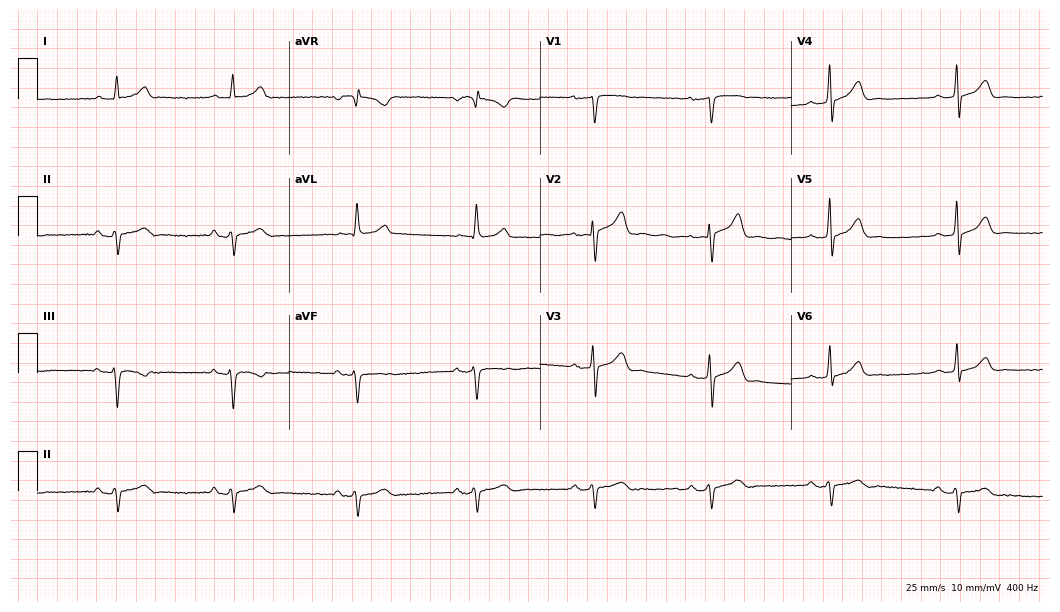
Standard 12-lead ECG recorded from a male, 60 years old. None of these six findings is recorded: first-degree AV block, right bundle branch block, left bundle branch block, sinus bradycardia, atrial fibrillation, sinus tachycardia. Other findings, if any, are not listed.